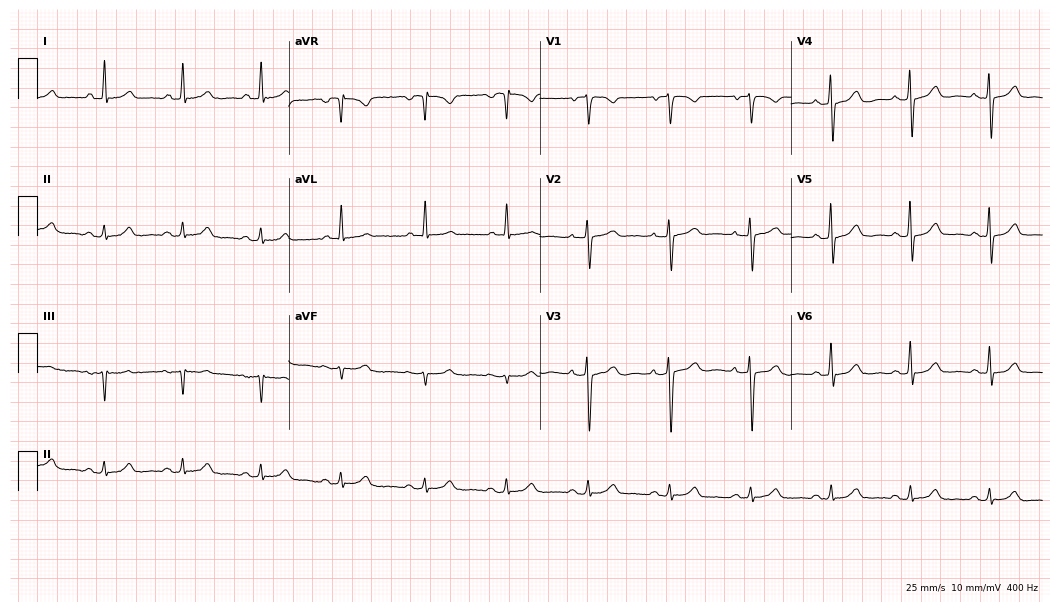
Resting 12-lead electrocardiogram (10.2-second recording at 400 Hz). Patient: a 72-year-old woman. Read as a normal ECG.